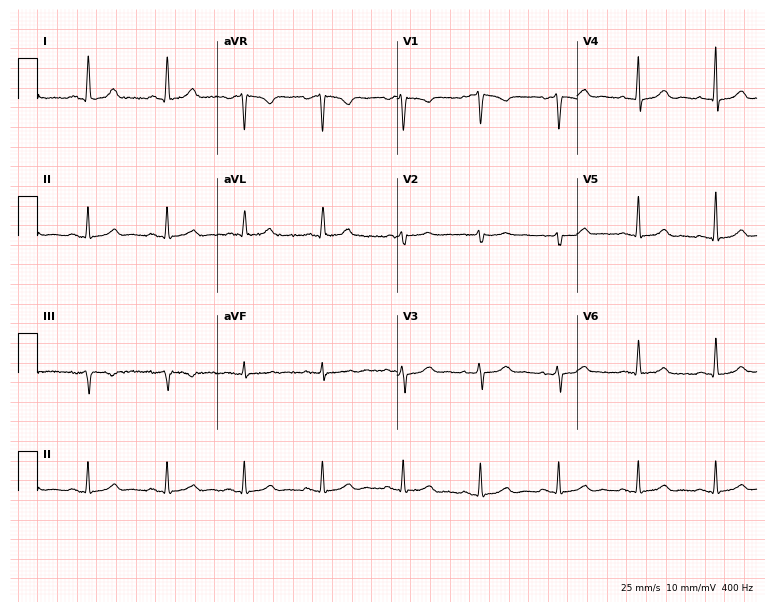
Standard 12-lead ECG recorded from a 47-year-old female patient (7.3-second recording at 400 Hz). Read as a normal ECG.